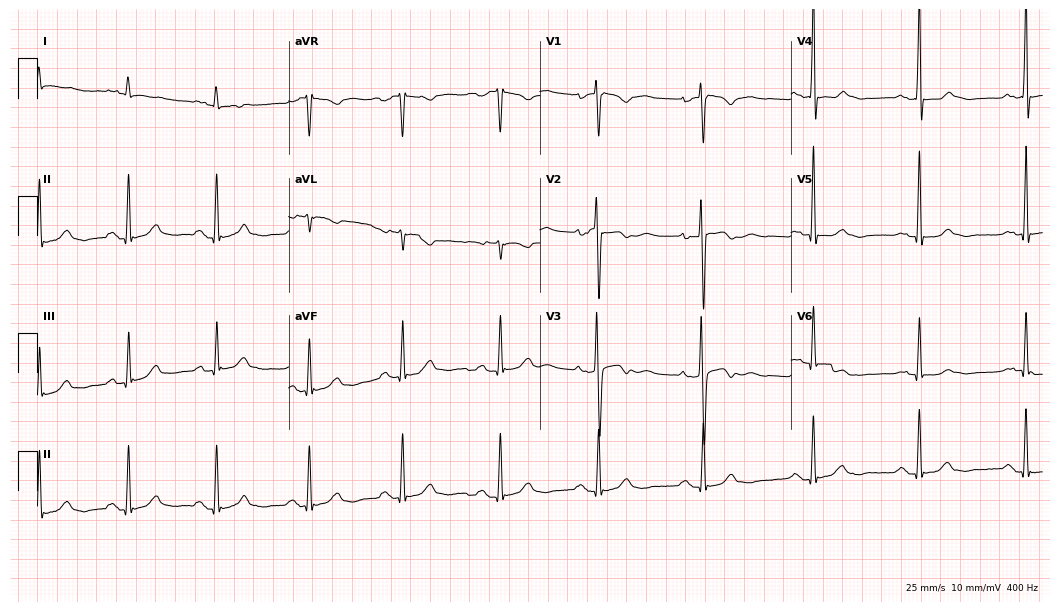
Resting 12-lead electrocardiogram (10.2-second recording at 400 Hz). Patient: a male, 40 years old. Read as a normal ECG.